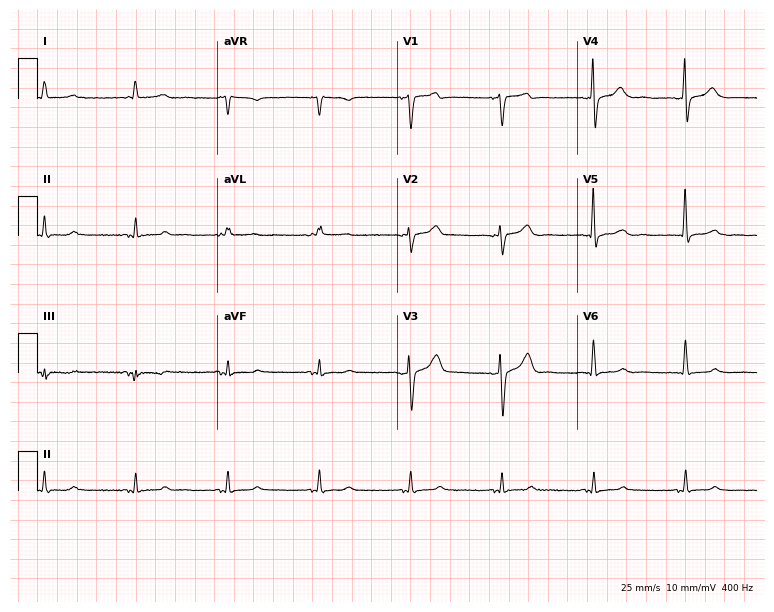
Electrocardiogram, a 66-year-old male patient. Of the six screened findings (first-degree AV block, right bundle branch block (RBBB), left bundle branch block (LBBB), sinus bradycardia, atrial fibrillation (AF), sinus tachycardia), none is recorded.